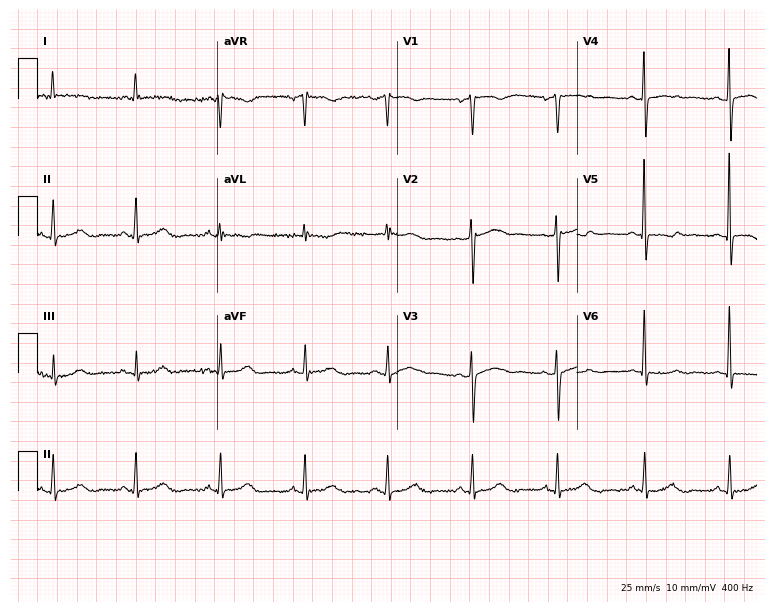
Resting 12-lead electrocardiogram. Patient: a woman, 53 years old. None of these six findings is recorded: first-degree AV block, right bundle branch block (RBBB), left bundle branch block (LBBB), sinus bradycardia, atrial fibrillation (AF), sinus tachycardia. Findings outside these six are not listed.